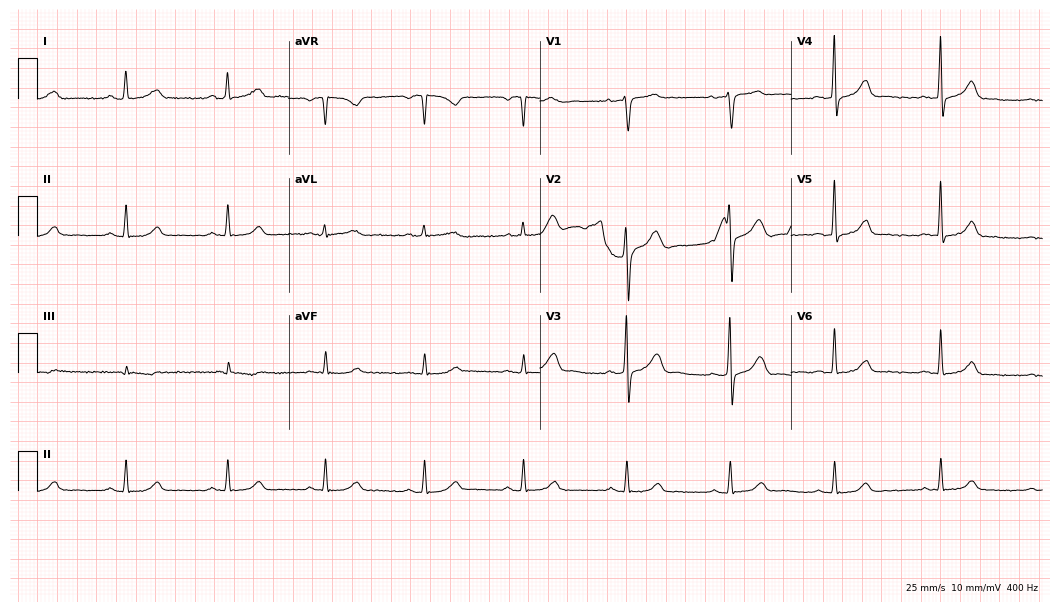
Electrocardiogram, a 51-year-old male patient. Overall reading on record: normal ECG.